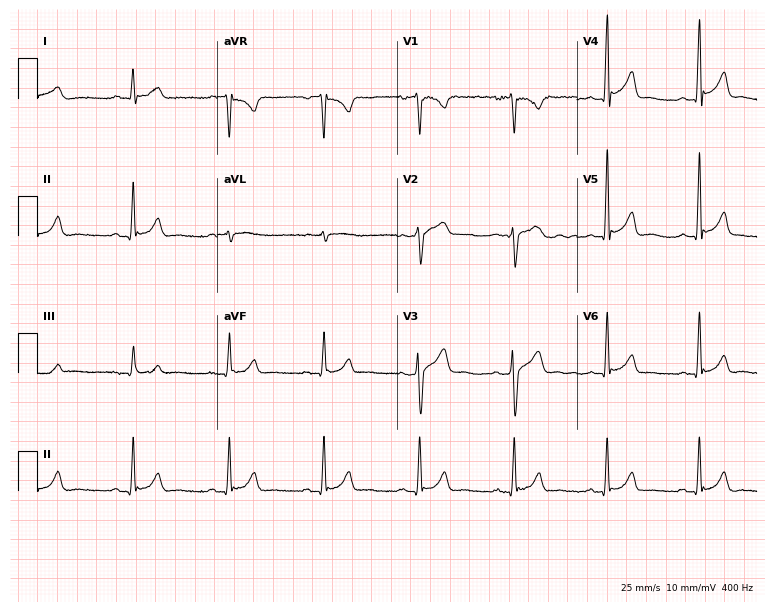
ECG — a 49-year-old male. Labelled as a normal ECG.